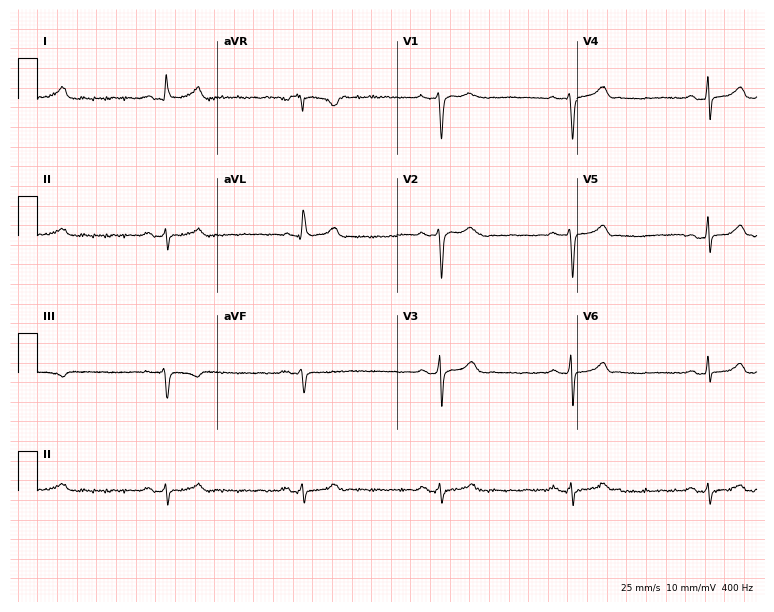
12-lead ECG from a 64-year-old male patient. Screened for six findings — first-degree AV block, right bundle branch block, left bundle branch block, sinus bradycardia, atrial fibrillation, sinus tachycardia — none is recorded. Only these six findings were labelled.